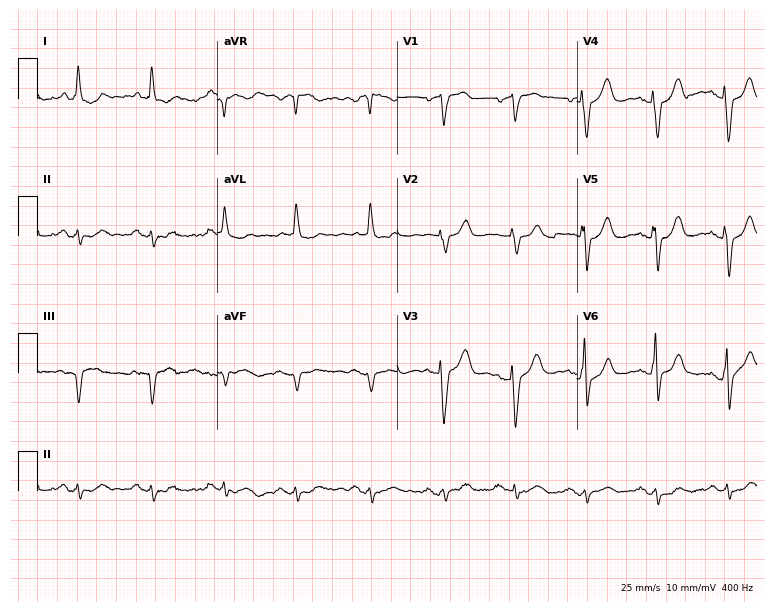
12-lead ECG from a 77-year-old female patient. No first-degree AV block, right bundle branch block, left bundle branch block, sinus bradycardia, atrial fibrillation or sinus tachycardia recorded for this tracing. Other findings, if any, are not listed.